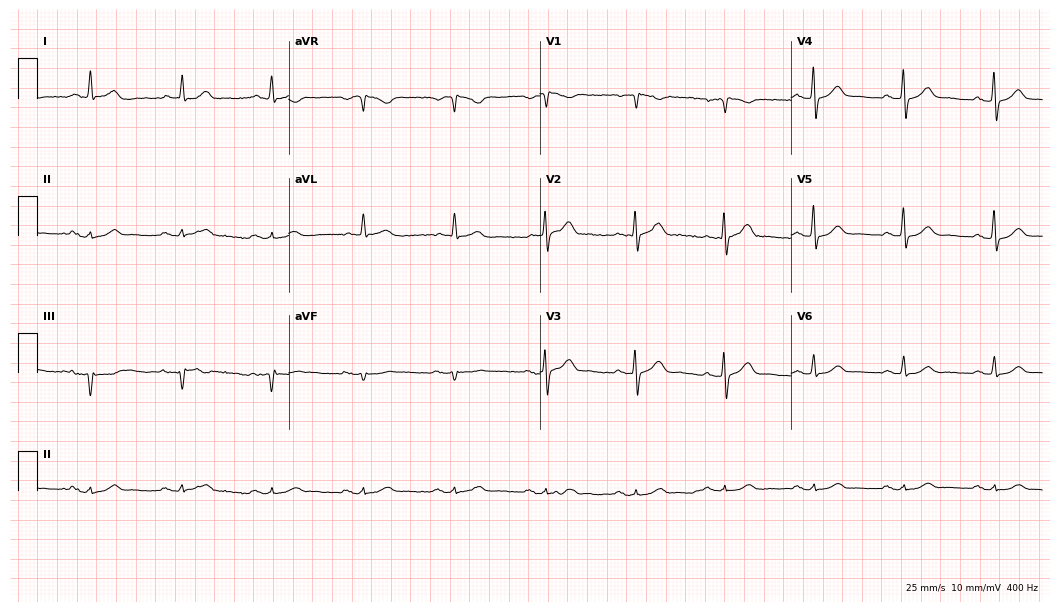
Electrocardiogram, an 86-year-old male. Overall reading on record: normal ECG.